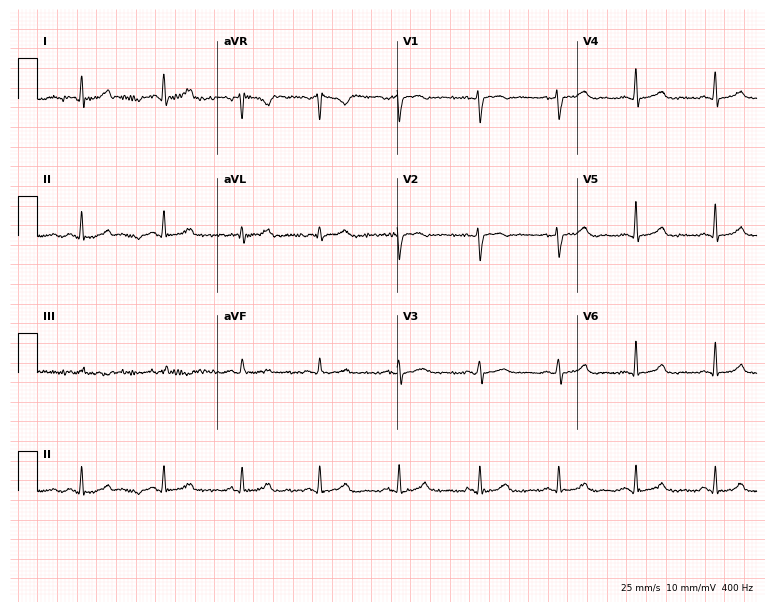
ECG (7.3-second recording at 400 Hz) — a woman, 35 years old. Labelled as a normal ECG.